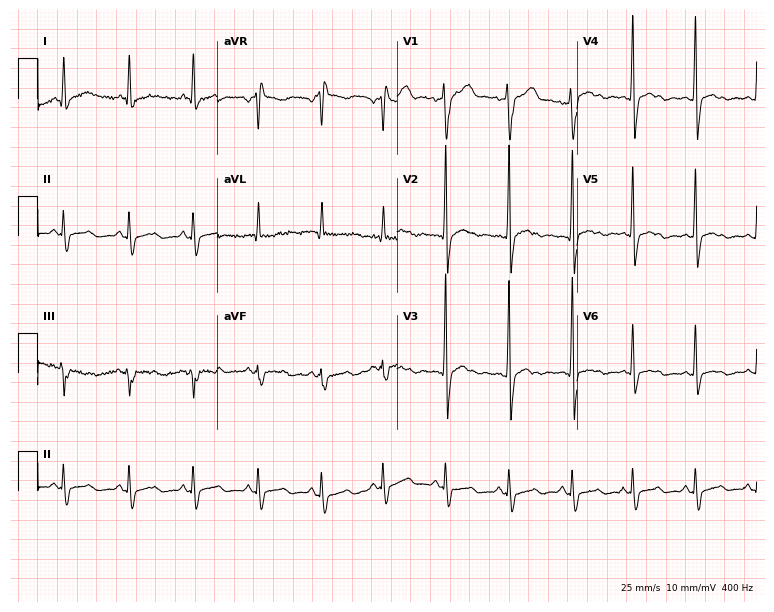
12-lead ECG from a man, 48 years old. No first-degree AV block, right bundle branch block, left bundle branch block, sinus bradycardia, atrial fibrillation or sinus tachycardia recorded for this tracing. Findings outside these six are not listed.